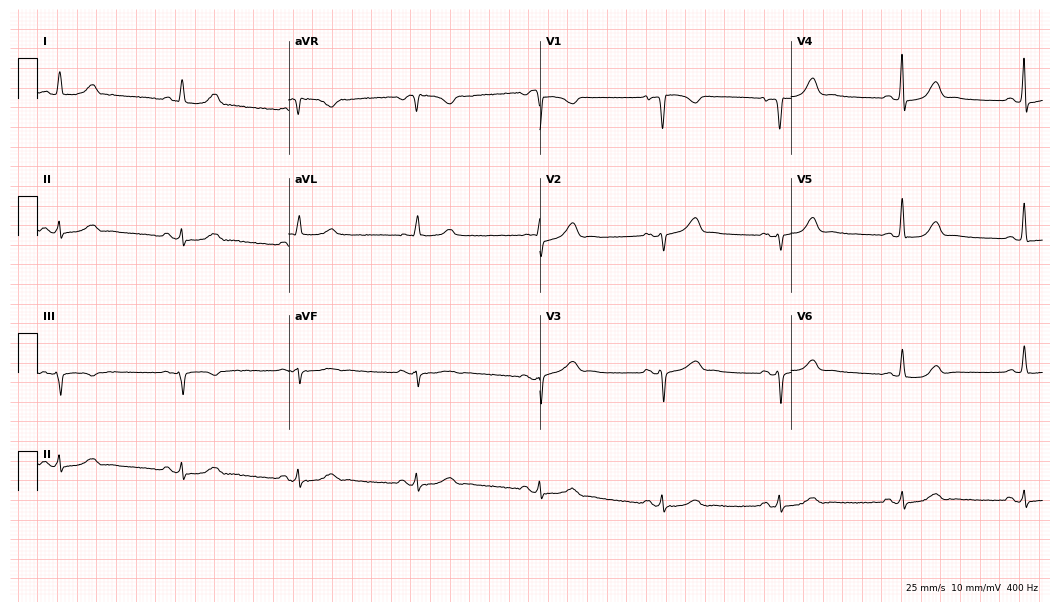
ECG (10.2-second recording at 400 Hz) — a 44-year-old female. Screened for six findings — first-degree AV block, right bundle branch block, left bundle branch block, sinus bradycardia, atrial fibrillation, sinus tachycardia — none is recorded.